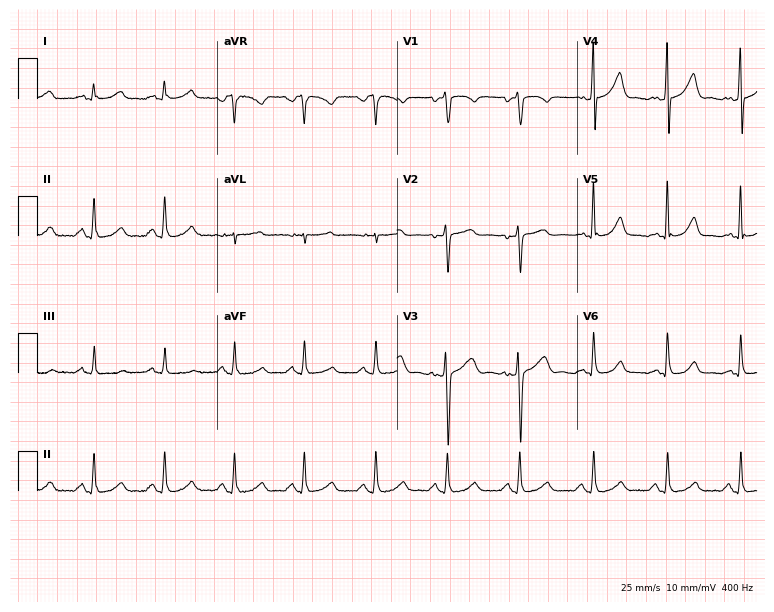
ECG (7.3-second recording at 400 Hz) — a man, 41 years old. Labelled as a normal ECG.